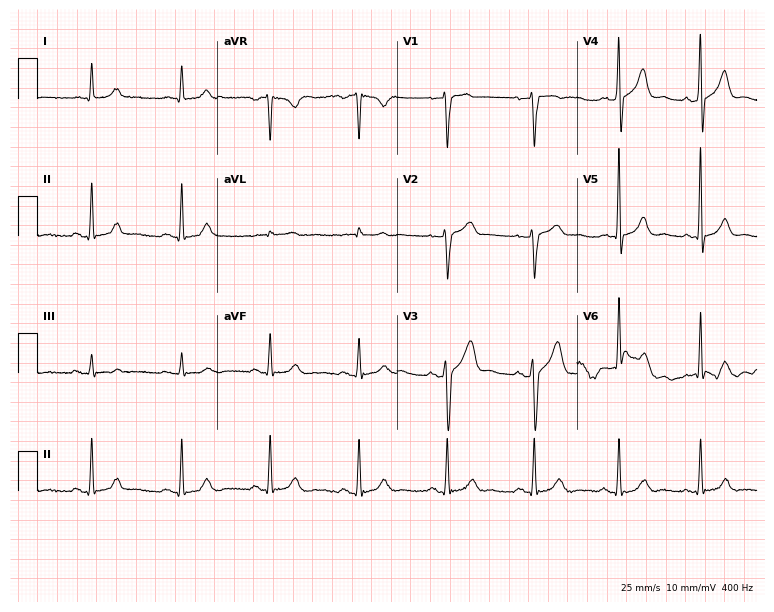
12-lead ECG from a 70-year-old man. Labelled as a normal ECG.